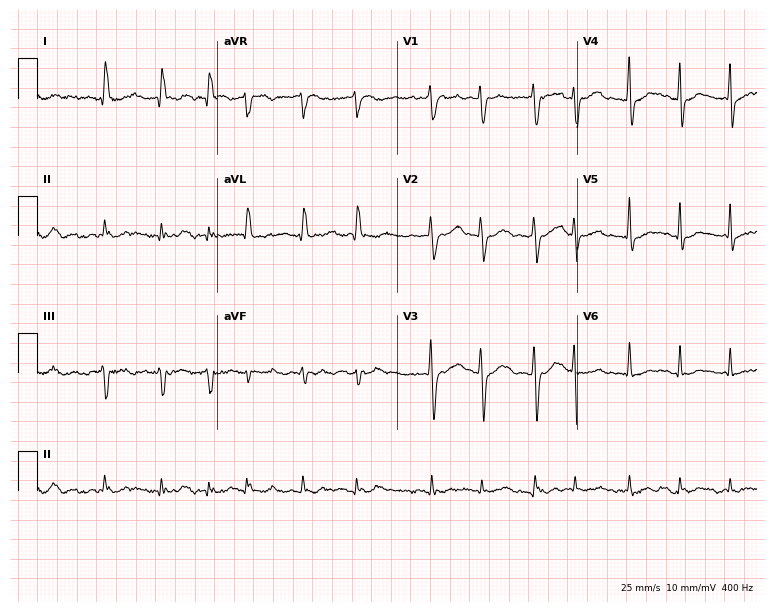
Resting 12-lead electrocardiogram (7.3-second recording at 400 Hz). Patient: a 79-year-old female. The tracing shows atrial fibrillation (AF).